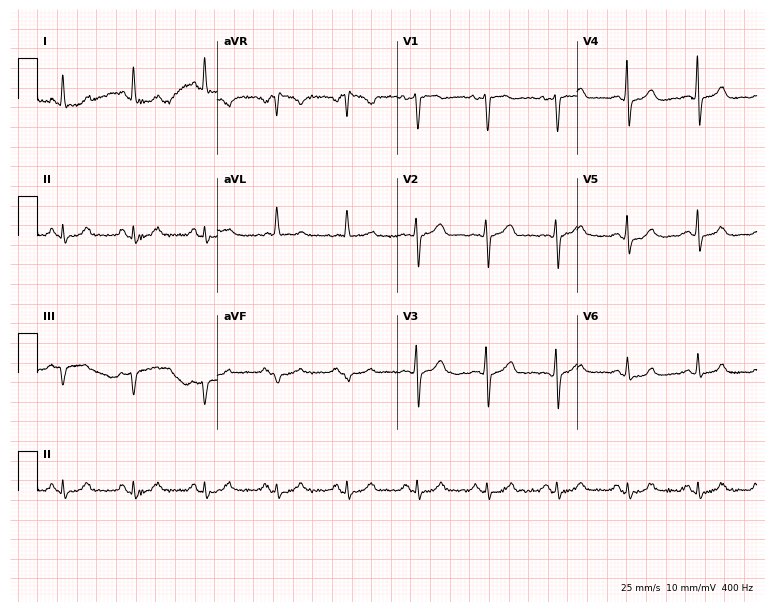
ECG (7.3-second recording at 400 Hz) — a 79-year-old female patient. Labelled as a normal ECG.